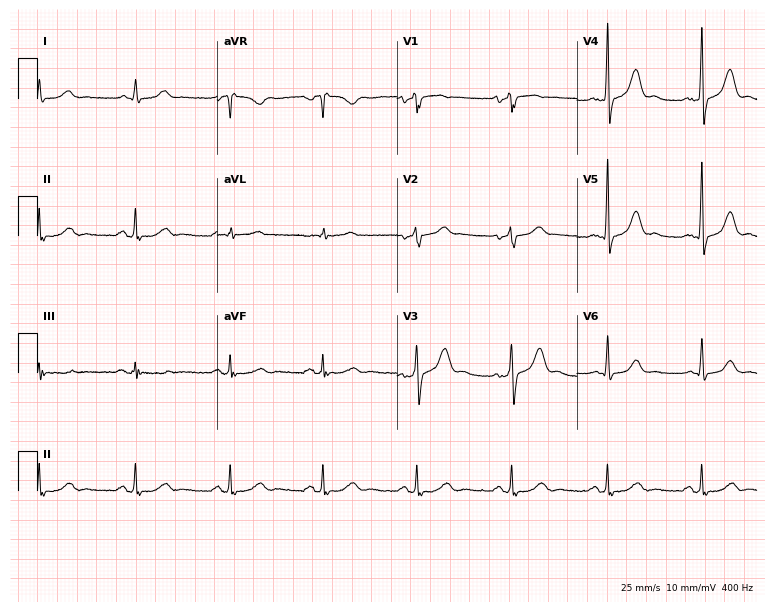
Standard 12-lead ECG recorded from a male patient, 61 years old. Read as a normal ECG.